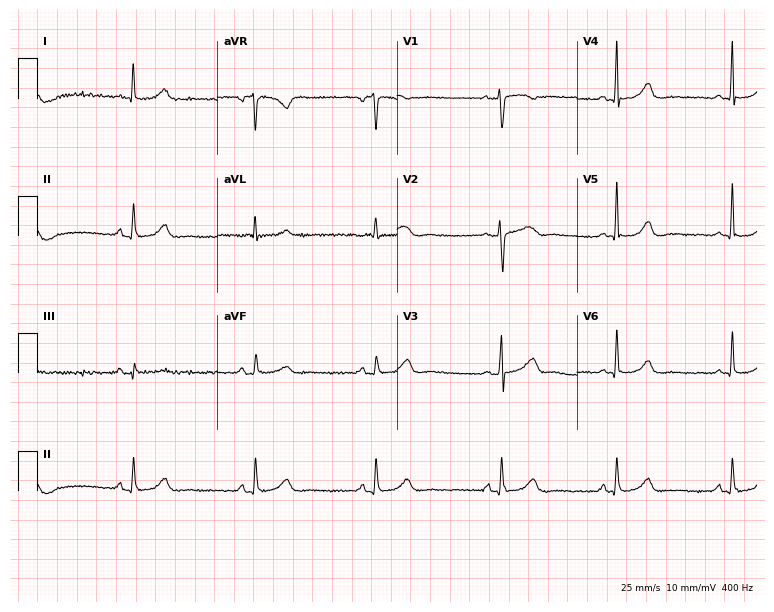
ECG — a female patient, 39 years old. Screened for six findings — first-degree AV block, right bundle branch block (RBBB), left bundle branch block (LBBB), sinus bradycardia, atrial fibrillation (AF), sinus tachycardia — none is recorded. Only these six findings were labelled.